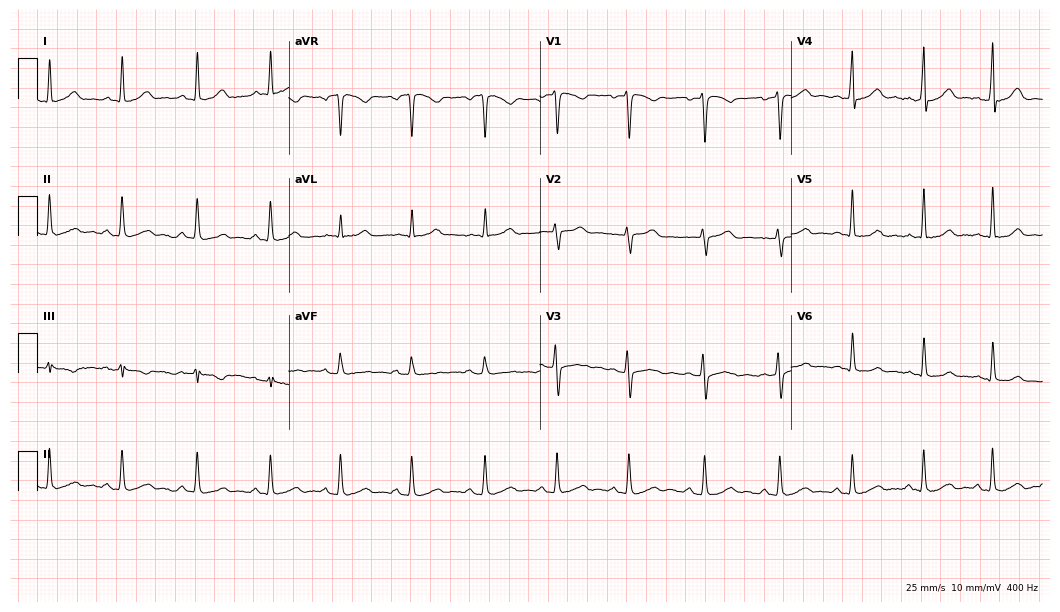
Standard 12-lead ECG recorded from a 30-year-old female. Read as a normal ECG.